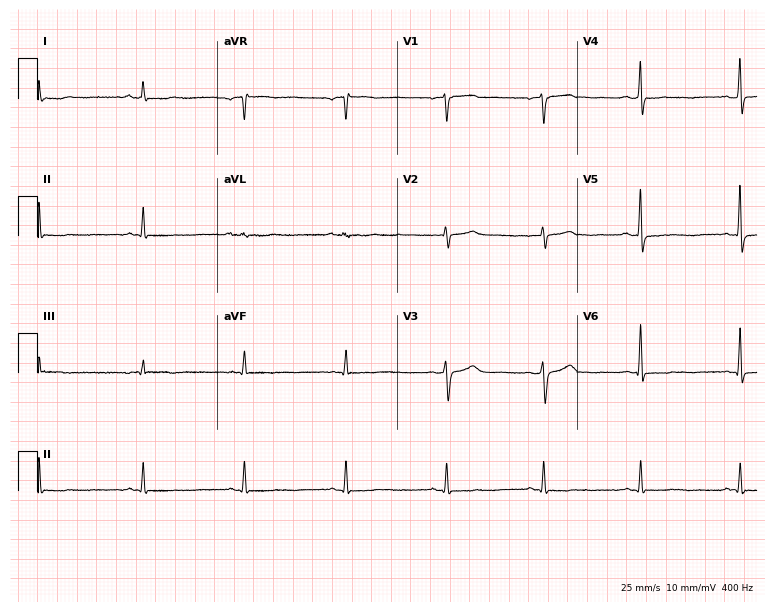
Resting 12-lead electrocardiogram. Patient: a 55-year-old male. None of these six findings is recorded: first-degree AV block, right bundle branch block, left bundle branch block, sinus bradycardia, atrial fibrillation, sinus tachycardia. Findings outside these six are not listed.